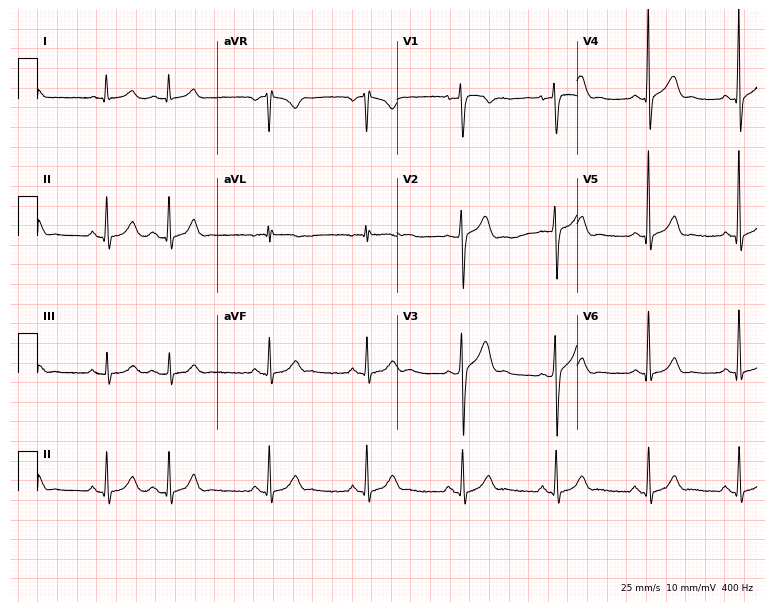
12-lead ECG from a 41-year-old man. Screened for six findings — first-degree AV block, right bundle branch block, left bundle branch block, sinus bradycardia, atrial fibrillation, sinus tachycardia — none is recorded.